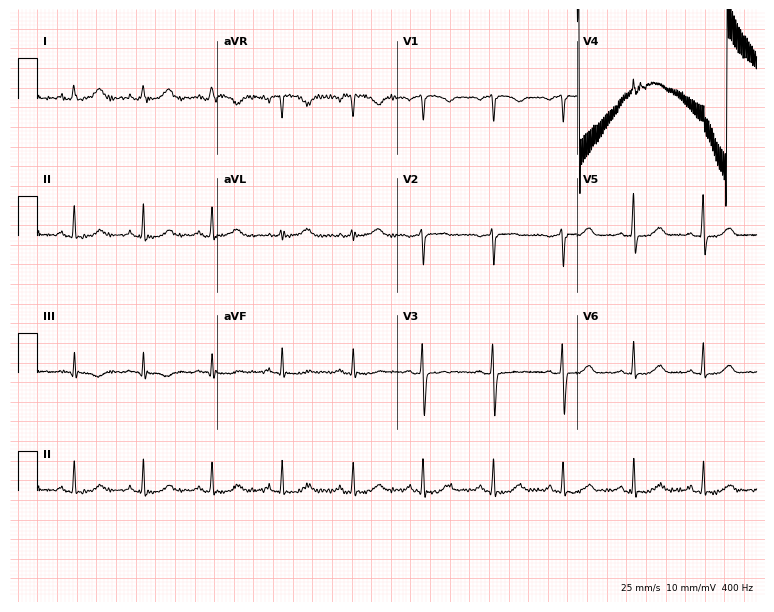
Standard 12-lead ECG recorded from a 48-year-old female (7.3-second recording at 400 Hz). None of these six findings is recorded: first-degree AV block, right bundle branch block, left bundle branch block, sinus bradycardia, atrial fibrillation, sinus tachycardia.